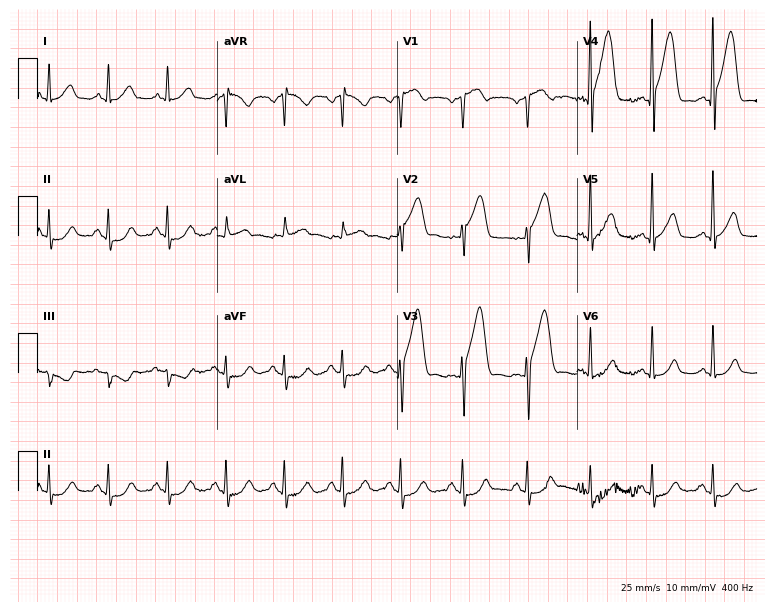
ECG (7.3-second recording at 400 Hz) — a female patient, 38 years old. Screened for six findings — first-degree AV block, right bundle branch block (RBBB), left bundle branch block (LBBB), sinus bradycardia, atrial fibrillation (AF), sinus tachycardia — none is recorded.